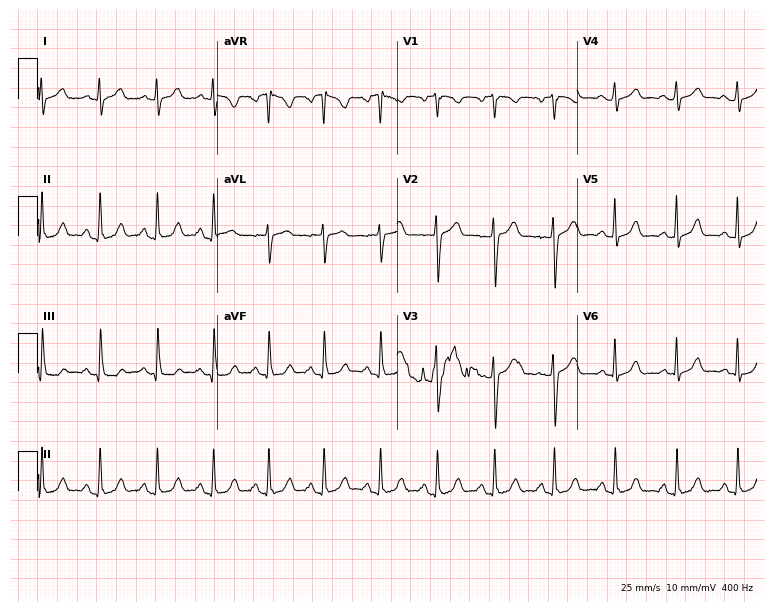
Standard 12-lead ECG recorded from a 32-year-old female patient. The tracing shows sinus tachycardia (a sinus rate of 100 beats per minute or more).